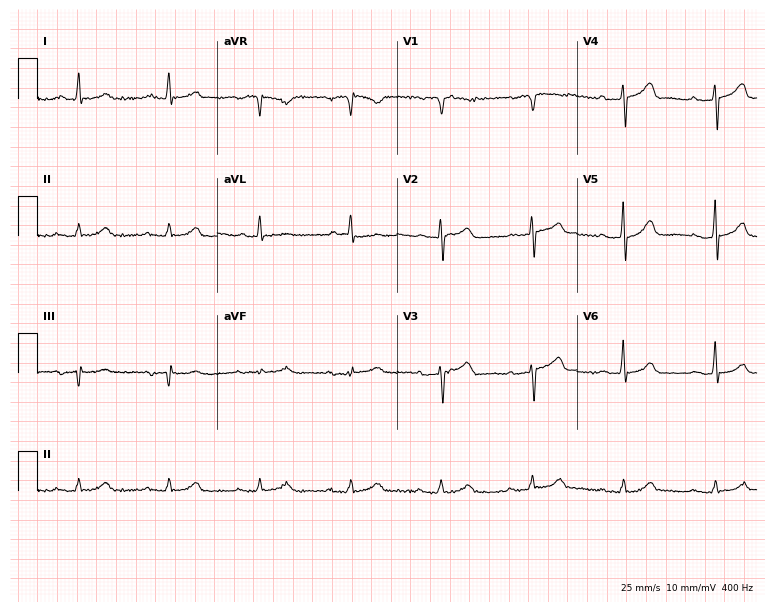
12-lead ECG from a male, 83 years old. Findings include first-degree AV block.